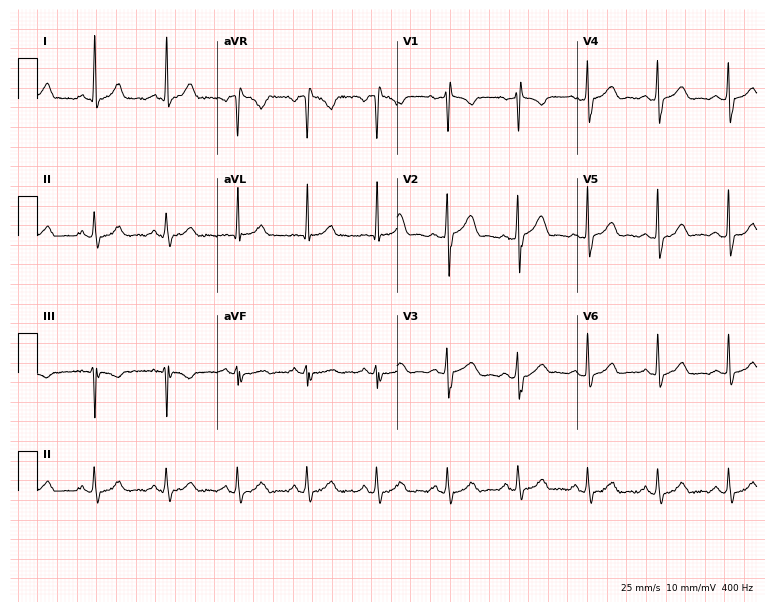
12-lead ECG (7.3-second recording at 400 Hz) from a male, 55 years old. Labelled as a normal ECG.